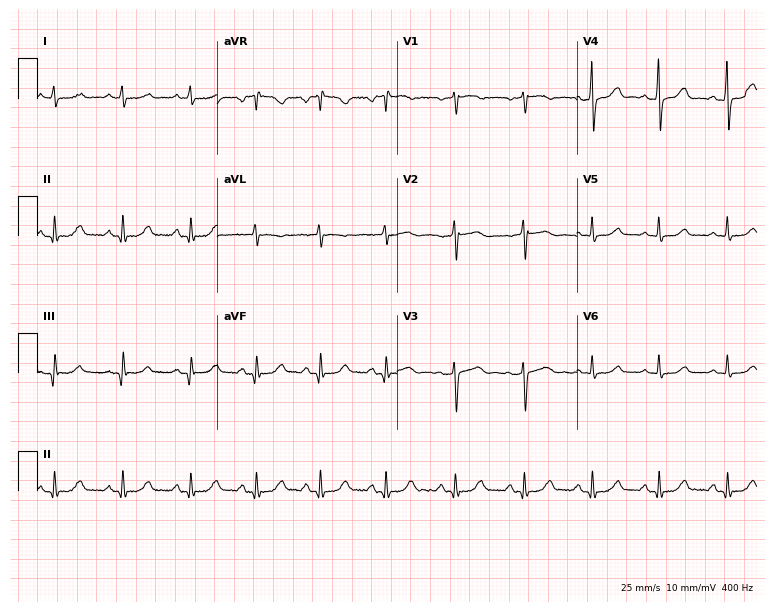
ECG — a 62-year-old female. Labelled as a normal ECG.